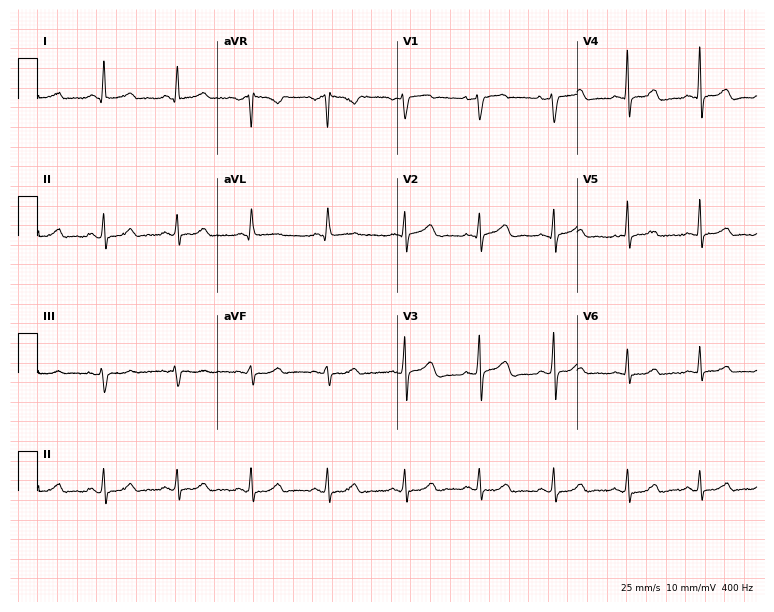
Standard 12-lead ECG recorded from a female, 38 years old (7.3-second recording at 400 Hz). None of these six findings is recorded: first-degree AV block, right bundle branch block, left bundle branch block, sinus bradycardia, atrial fibrillation, sinus tachycardia.